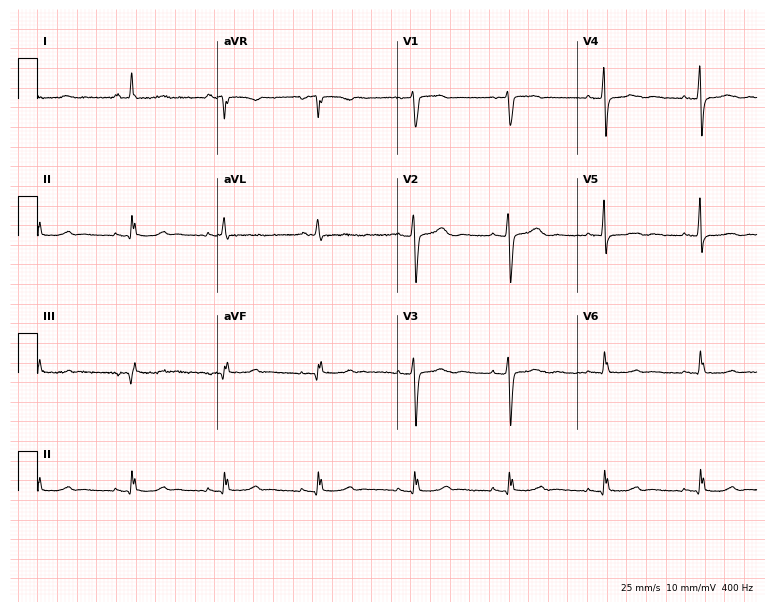
12-lead ECG from a female, 59 years old. Screened for six findings — first-degree AV block, right bundle branch block, left bundle branch block, sinus bradycardia, atrial fibrillation, sinus tachycardia — none is recorded.